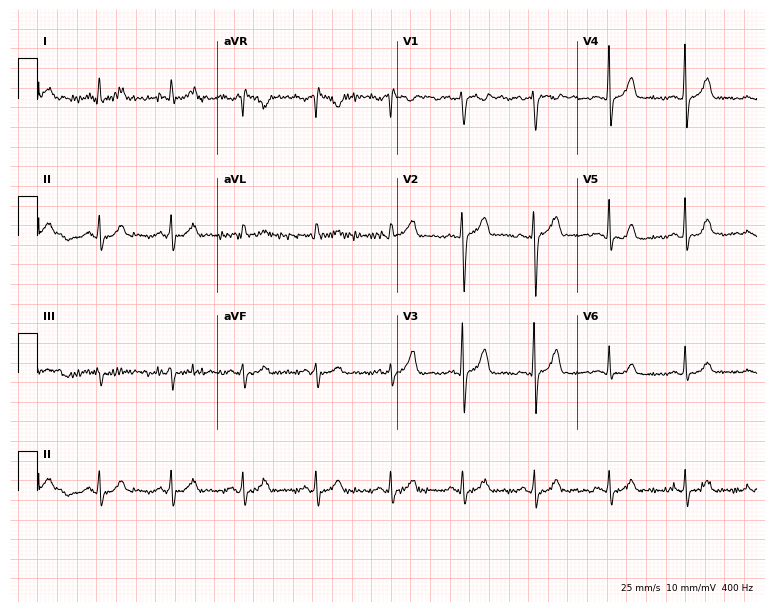
ECG — a female patient, 41 years old. Screened for six findings — first-degree AV block, right bundle branch block, left bundle branch block, sinus bradycardia, atrial fibrillation, sinus tachycardia — none is recorded.